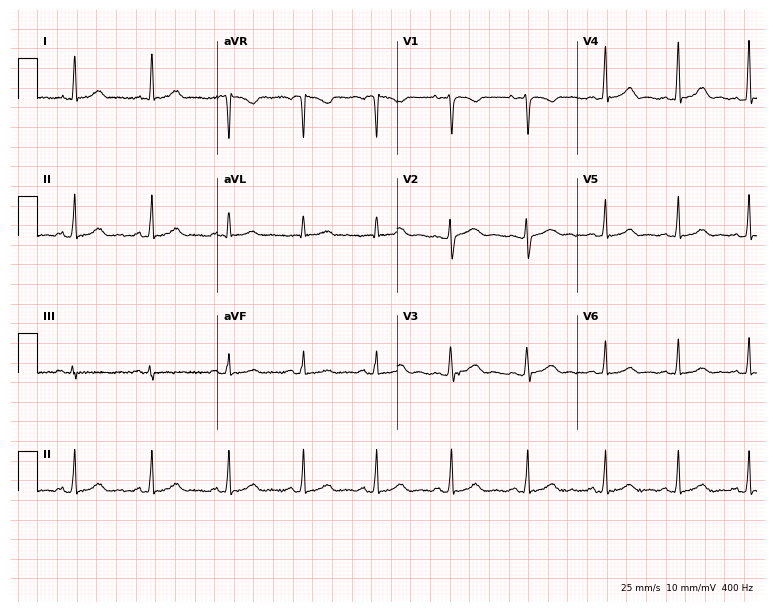
Resting 12-lead electrocardiogram. Patient: a 41-year-old female. Read as a normal ECG.